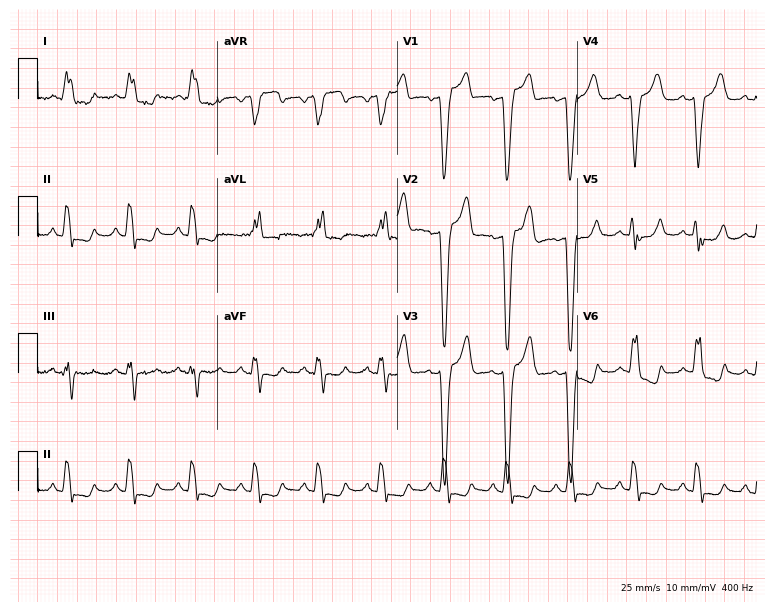
Electrocardiogram, a female, 76 years old. Interpretation includes left bundle branch block (LBBB).